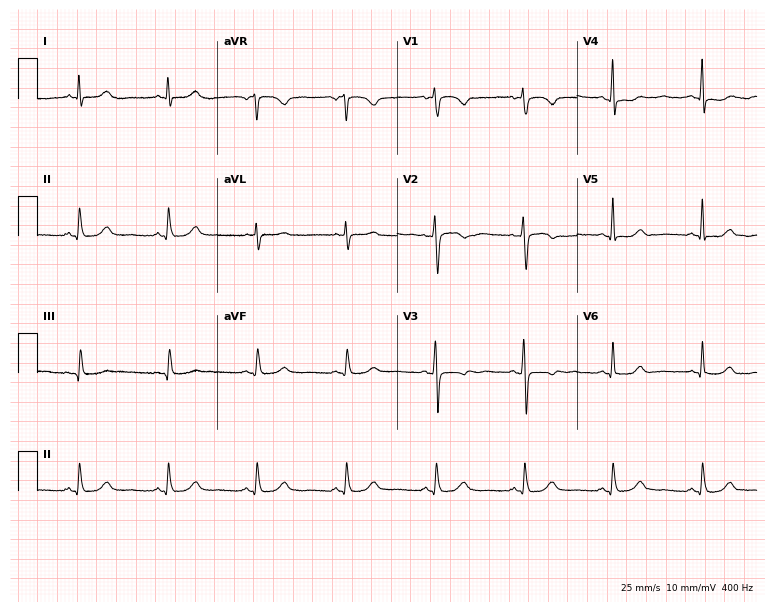
12-lead ECG from a male, 52 years old. No first-degree AV block, right bundle branch block, left bundle branch block, sinus bradycardia, atrial fibrillation or sinus tachycardia recorded for this tracing.